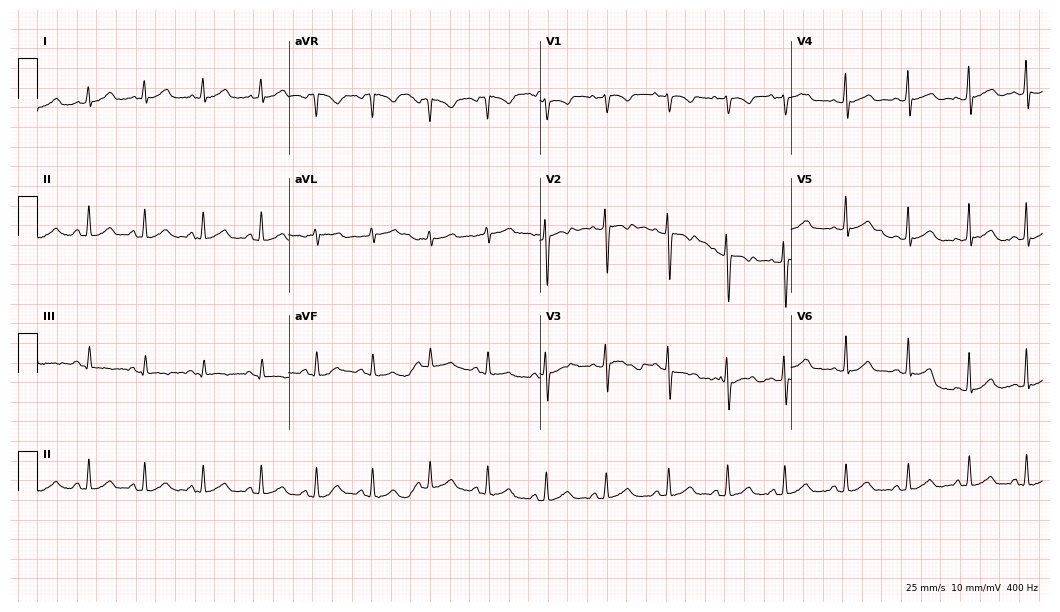
Standard 12-lead ECG recorded from a 29-year-old female patient. Read as a normal ECG.